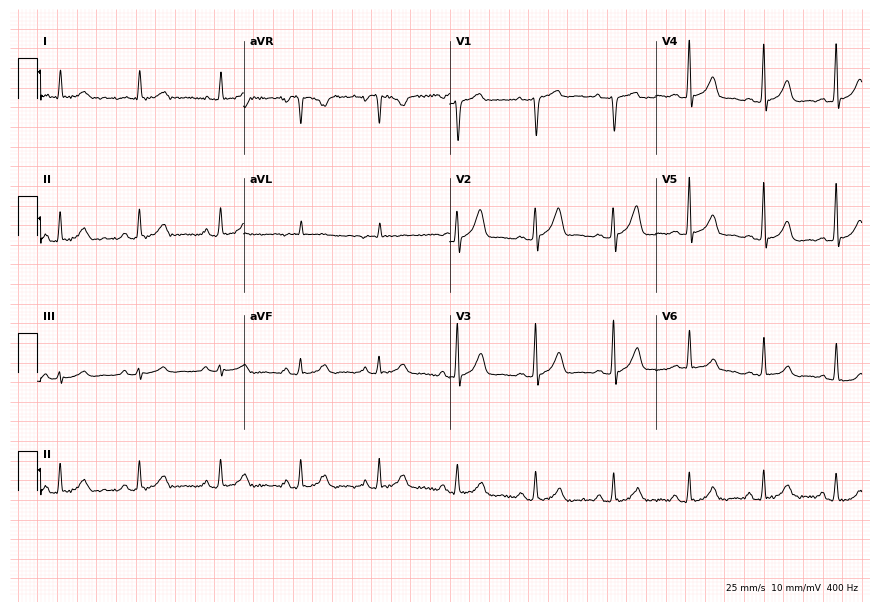
12-lead ECG from a 58-year-old male (8.4-second recording at 400 Hz). No first-degree AV block, right bundle branch block, left bundle branch block, sinus bradycardia, atrial fibrillation or sinus tachycardia recorded for this tracing. Findings outside these six are not listed.